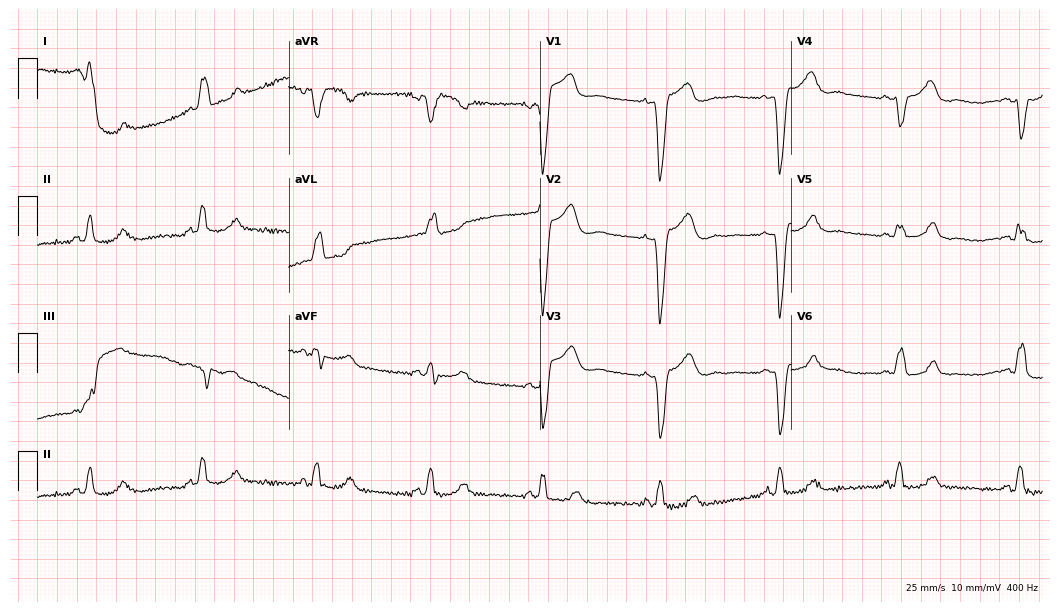
12-lead ECG from a 67-year-old female patient. Screened for six findings — first-degree AV block, right bundle branch block, left bundle branch block, sinus bradycardia, atrial fibrillation, sinus tachycardia — none is recorded.